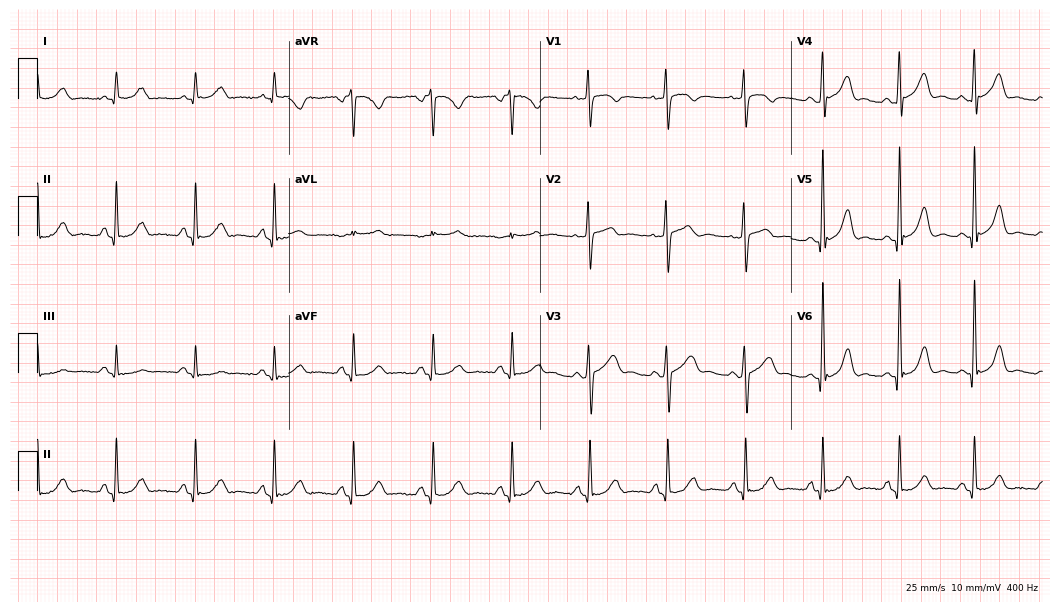
Electrocardiogram, a man, 72 years old. Of the six screened findings (first-degree AV block, right bundle branch block, left bundle branch block, sinus bradycardia, atrial fibrillation, sinus tachycardia), none is recorded.